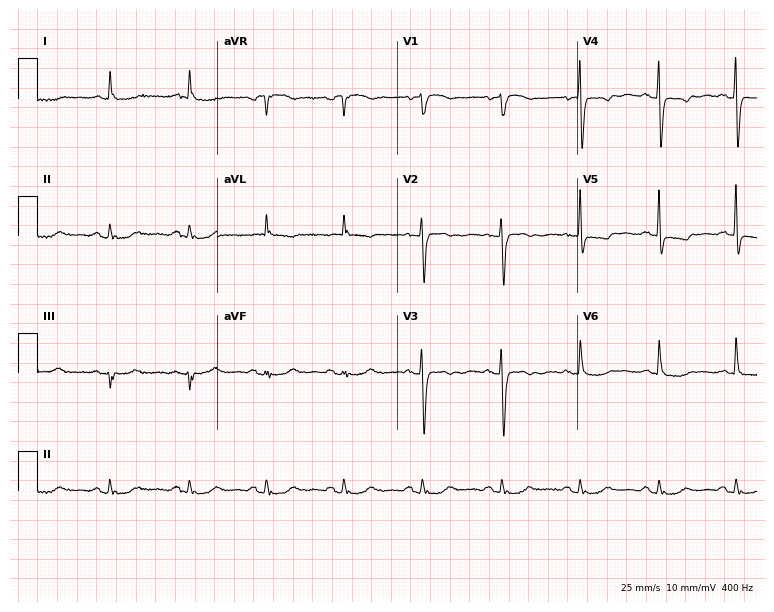
Standard 12-lead ECG recorded from a 72-year-old woman (7.3-second recording at 400 Hz). None of these six findings is recorded: first-degree AV block, right bundle branch block (RBBB), left bundle branch block (LBBB), sinus bradycardia, atrial fibrillation (AF), sinus tachycardia. Other findings, if any, are not listed.